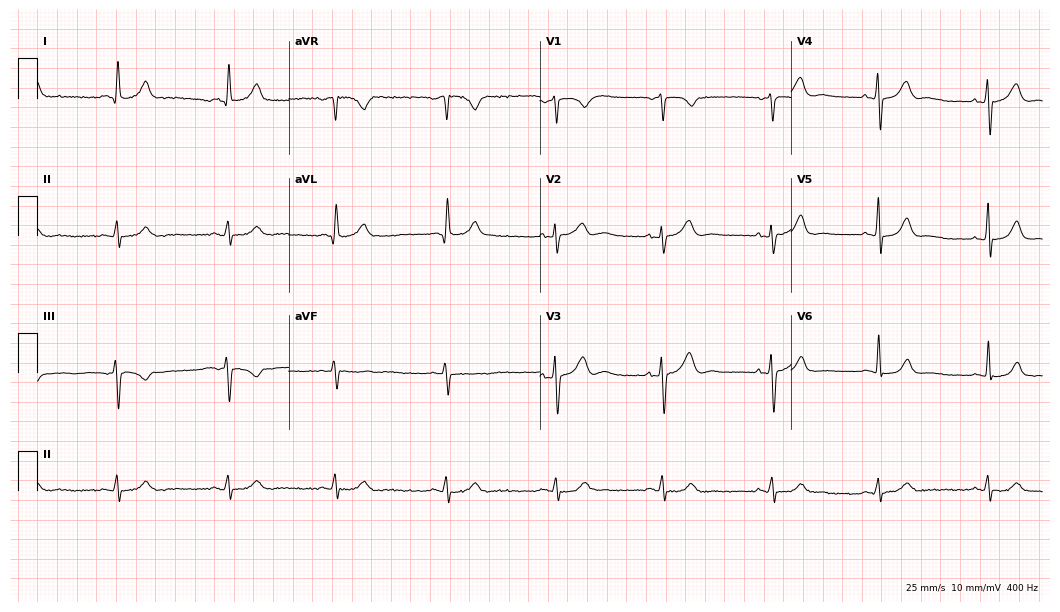
12-lead ECG from a male, 50 years old. Recorded interpretation: within normal limits.